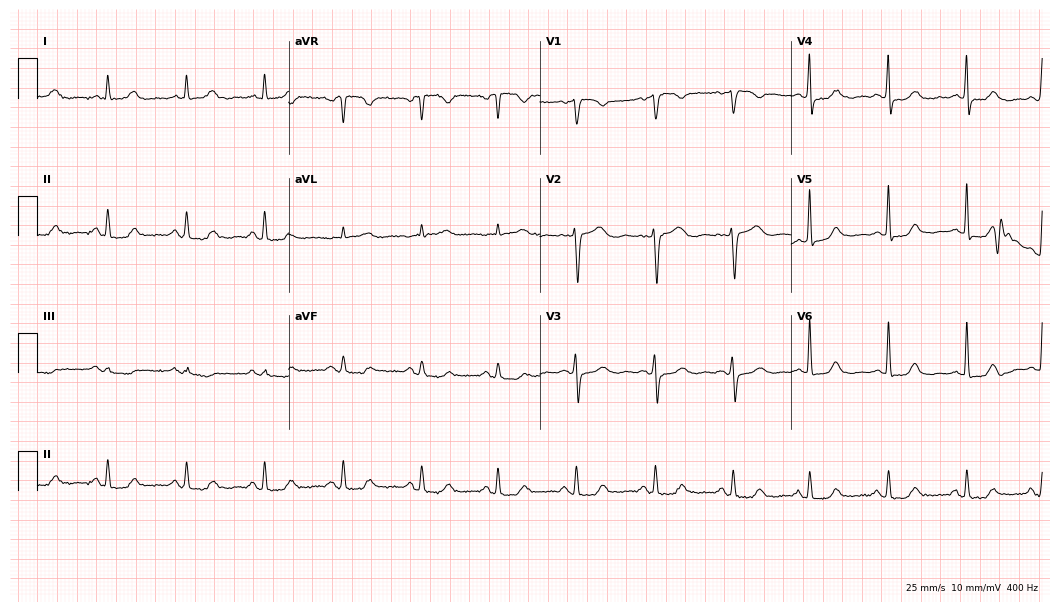
ECG — a 63-year-old woman. Labelled as a normal ECG.